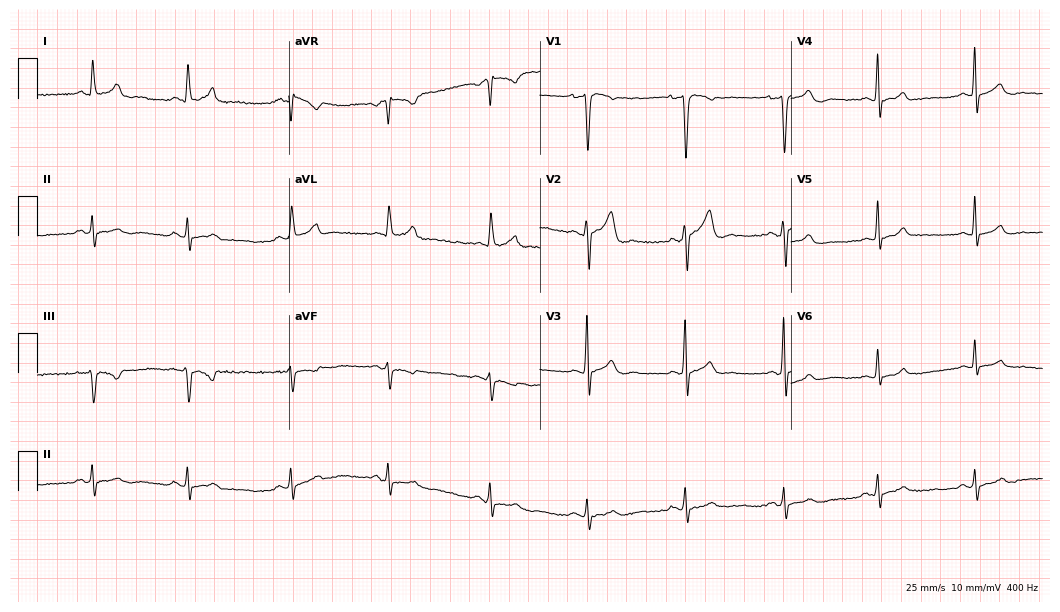
12-lead ECG from a 38-year-old male patient (10.2-second recording at 400 Hz). Recorded interpretation: within normal limits.